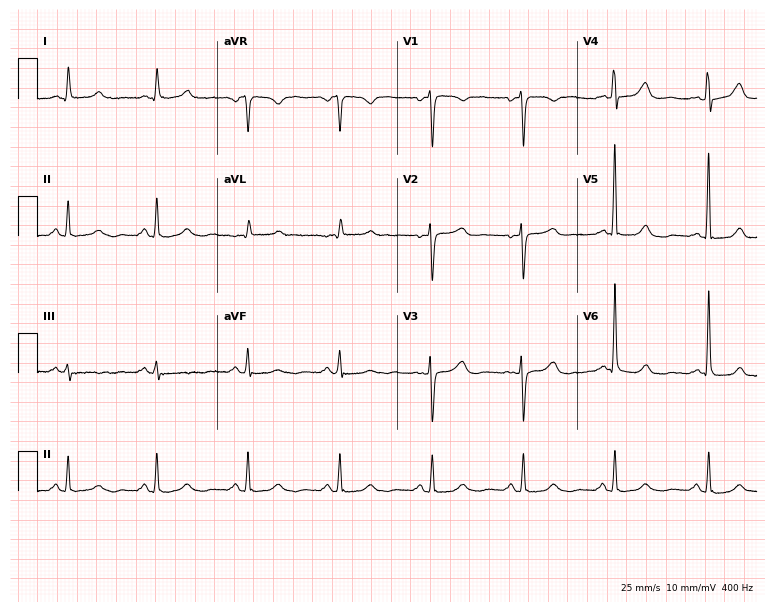
Standard 12-lead ECG recorded from a woman, 68 years old (7.3-second recording at 400 Hz). Read as a normal ECG.